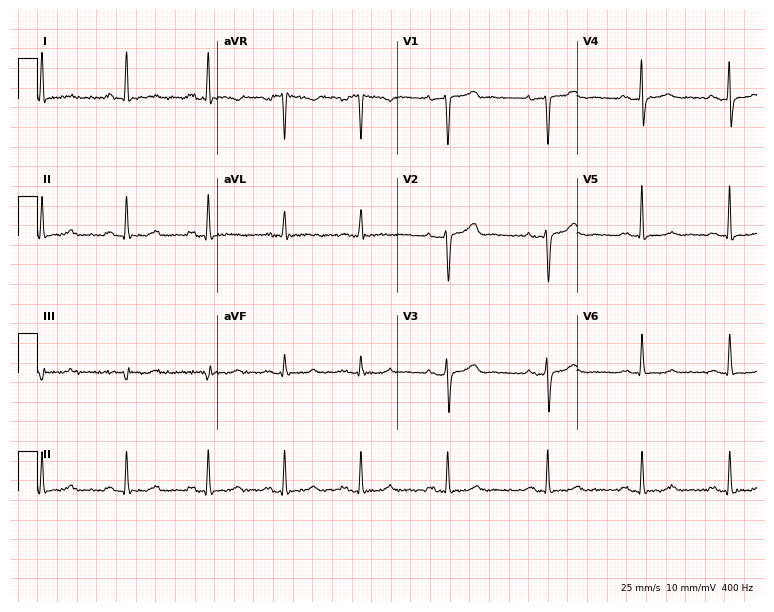
Electrocardiogram, a 43-year-old female. Overall reading on record: normal ECG.